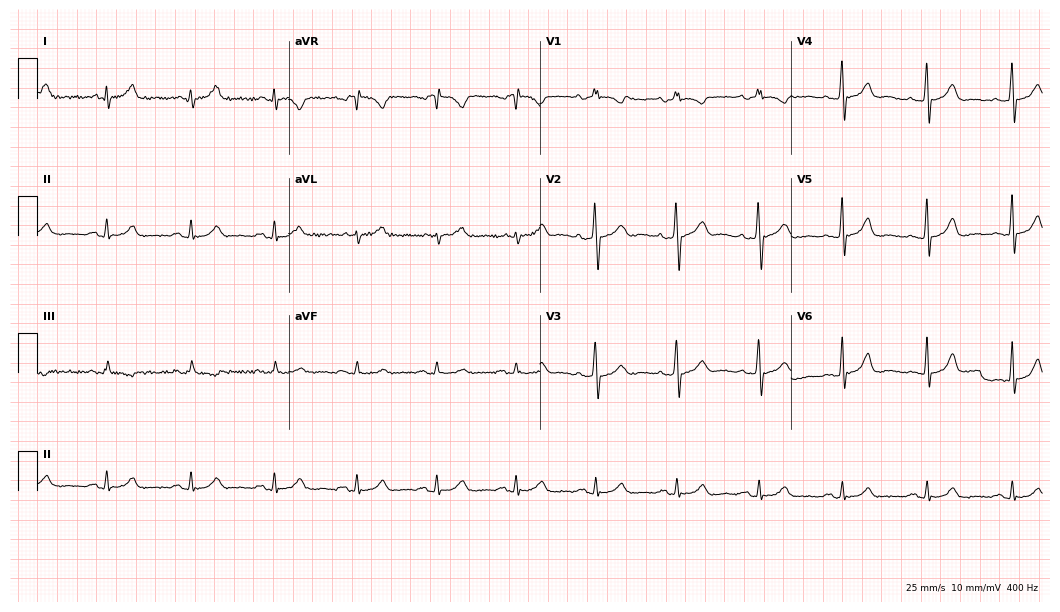
Electrocardiogram, a man, 76 years old. Overall reading on record: normal ECG.